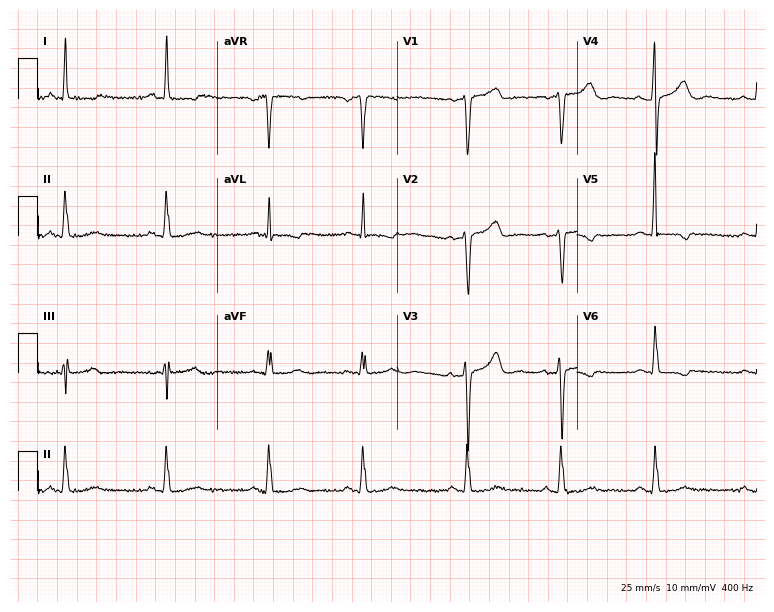
ECG (7.3-second recording at 400 Hz) — a 52-year-old woman. Screened for six findings — first-degree AV block, right bundle branch block (RBBB), left bundle branch block (LBBB), sinus bradycardia, atrial fibrillation (AF), sinus tachycardia — none is recorded.